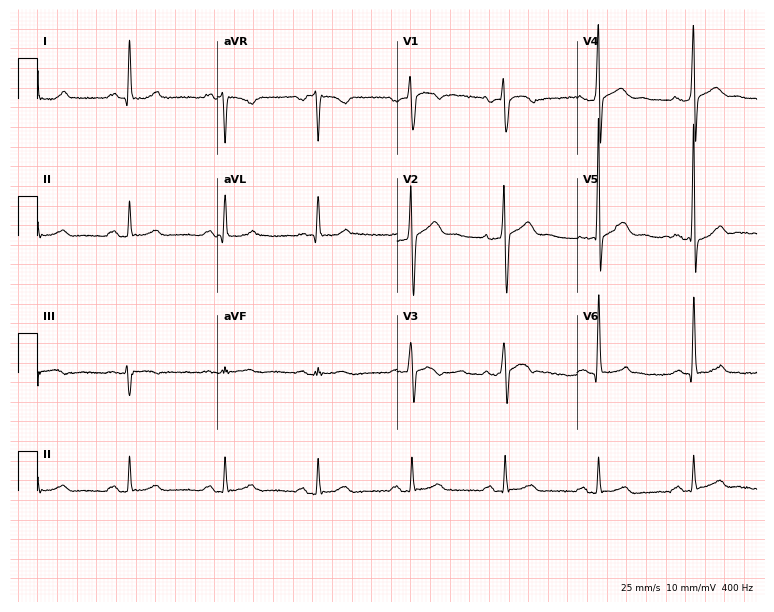
ECG (7.3-second recording at 400 Hz) — a male, 46 years old. Screened for six findings — first-degree AV block, right bundle branch block, left bundle branch block, sinus bradycardia, atrial fibrillation, sinus tachycardia — none is recorded. Other findings, if any, are not listed.